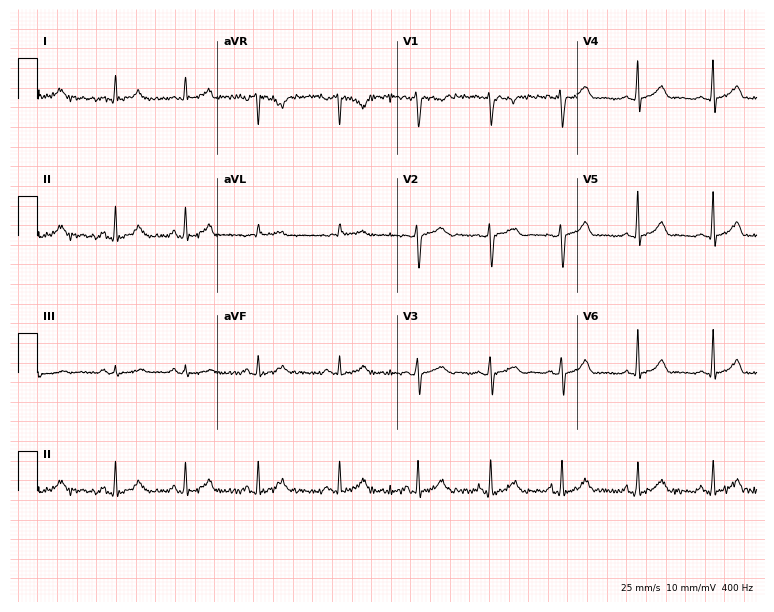
Electrocardiogram (7.3-second recording at 400 Hz), a 21-year-old female. Overall reading on record: normal ECG.